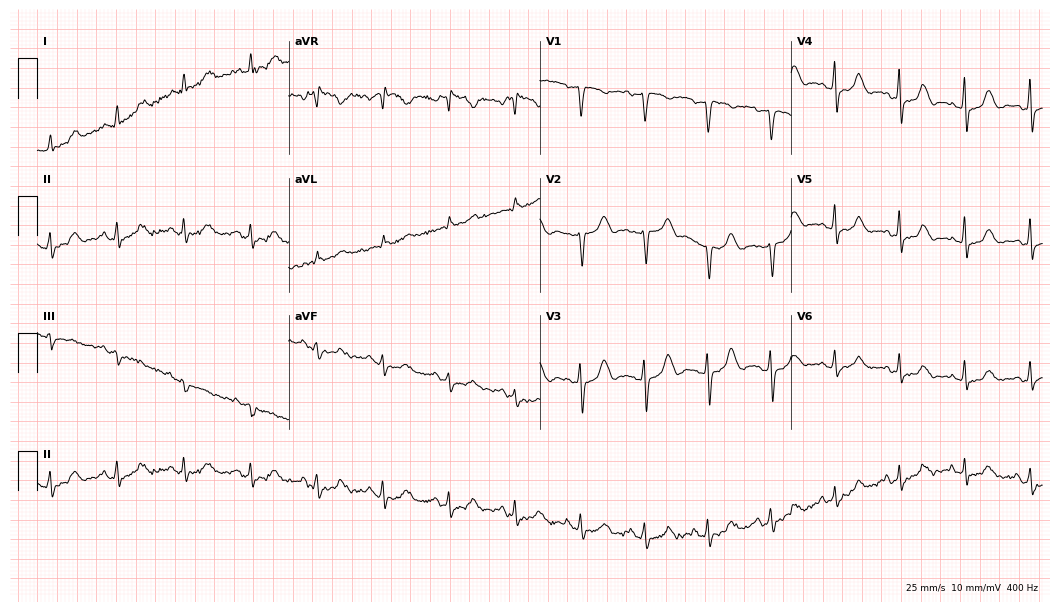
Standard 12-lead ECG recorded from a female patient, 52 years old (10.2-second recording at 400 Hz). Read as a normal ECG.